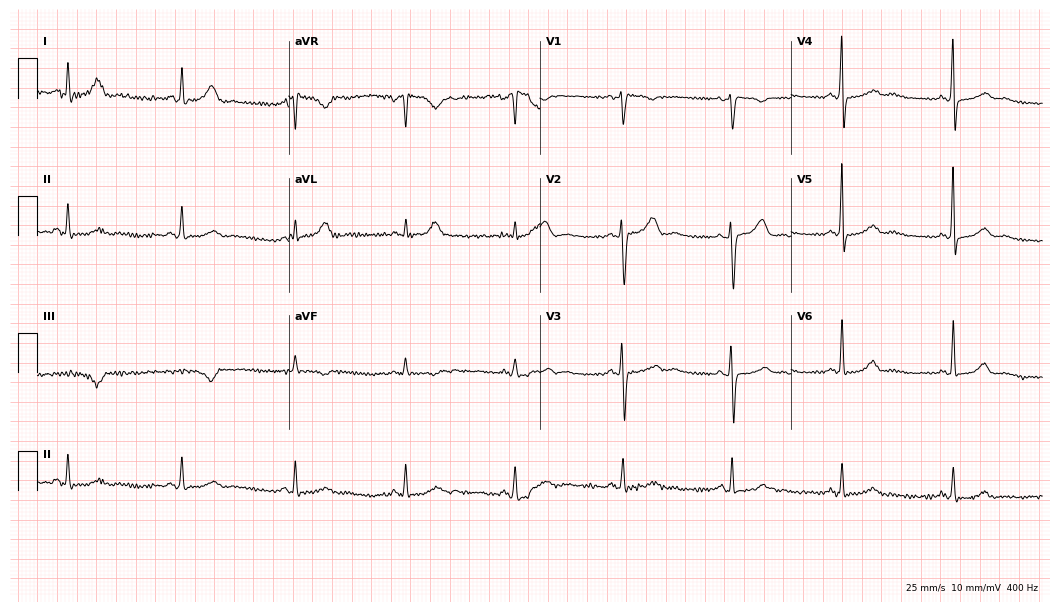
Resting 12-lead electrocardiogram. Patient: a 72-year-old woman. None of these six findings is recorded: first-degree AV block, right bundle branch block, left bundle branch block, sinus bradycardia, atrial fibrillation, sinus tachycardia. Other findings, if any, are not listed.